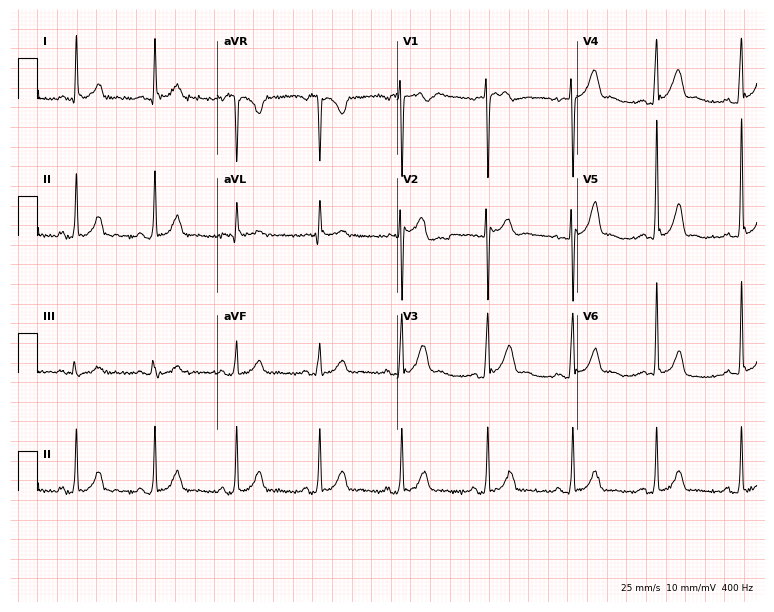
Standard 12-lead ECG recorded from a 25-year-old man (7.3-second recording at 400 Hz). None of these six findings is recorded: first-degree AV block, right bundle branch block, left bundle branch block, sinus bradycardia, atrial fibrillation, sinus tachycardia. Other findings, if any, are not listed.